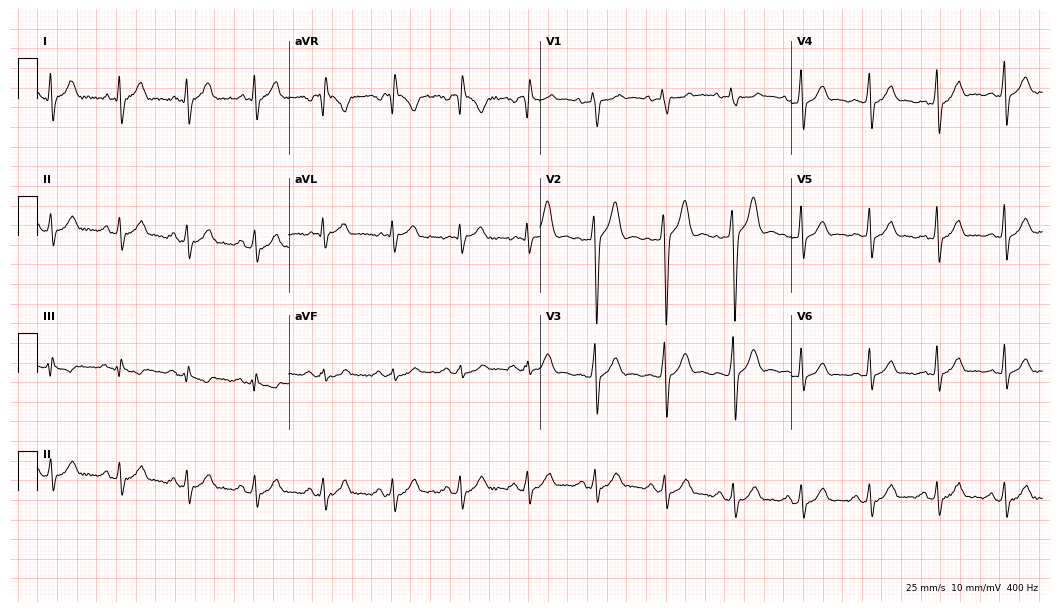
12-lead ECG from a 24-year-old male patient. Recorded interpretation: within normal limits.